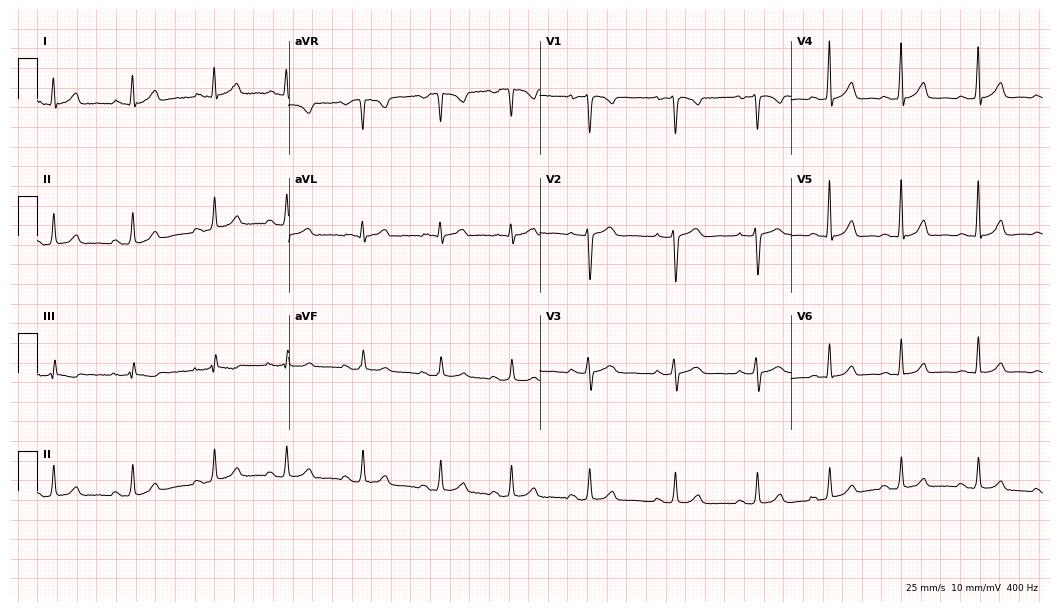
ECG (10.2-second recording at 400 Hz) — a woman, 60 years old. Labelled as a normal ECG.